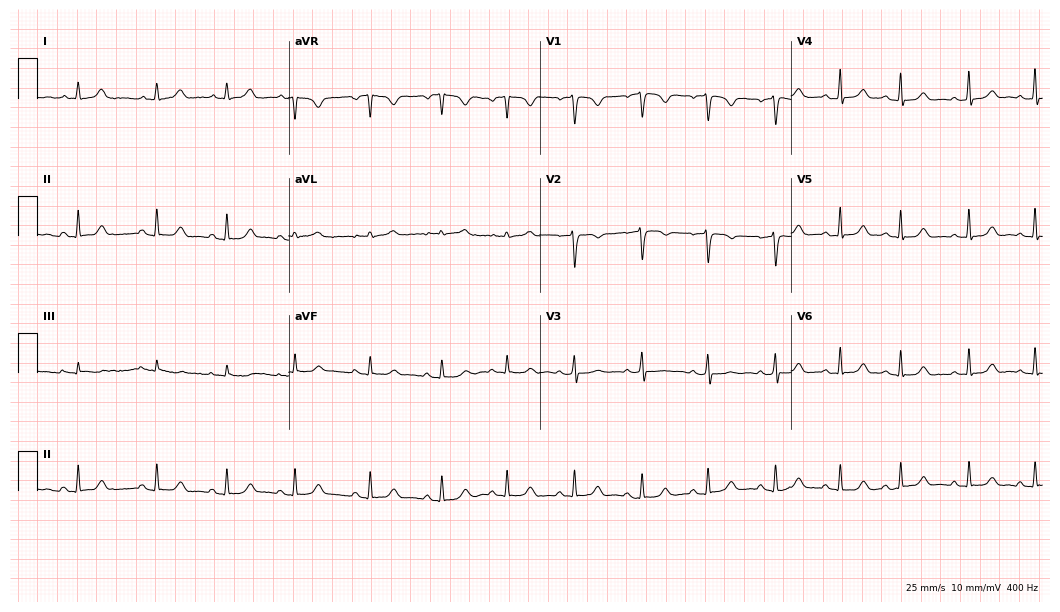
12-lead ECG from a 33-year-old female patient (10.2-second recording at 400 Hz). Recorded interpretation: within normal limits.